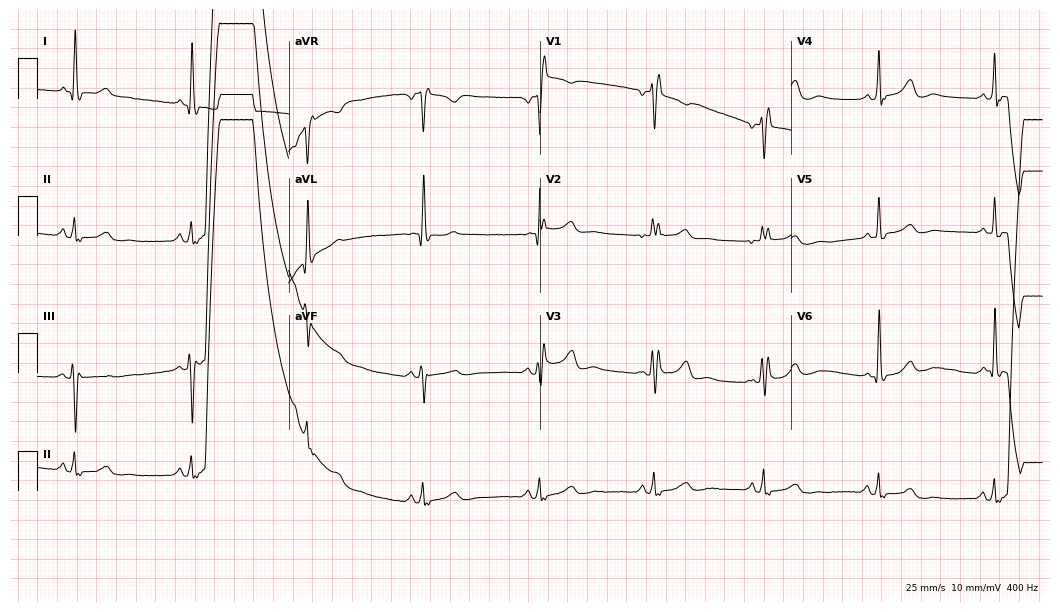
ECG (10.2-second recording at 400 Hz) — a female patient, 84 years old. Findings include right bundle branch block.